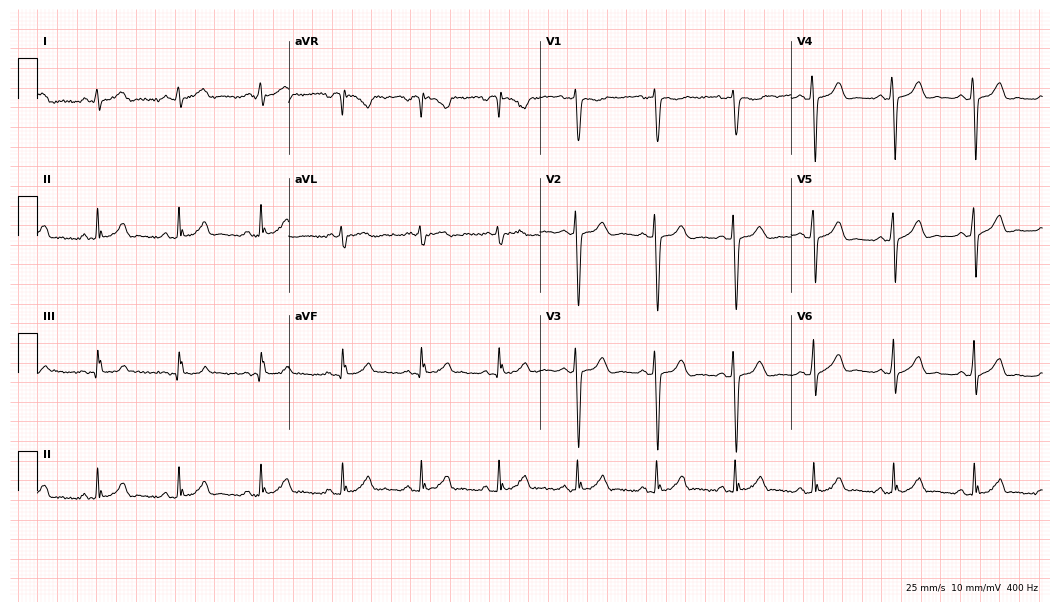
ECG (10.2-second recording at 400 Hz) — a man, 38 years old. Labelled as a normal ECG.